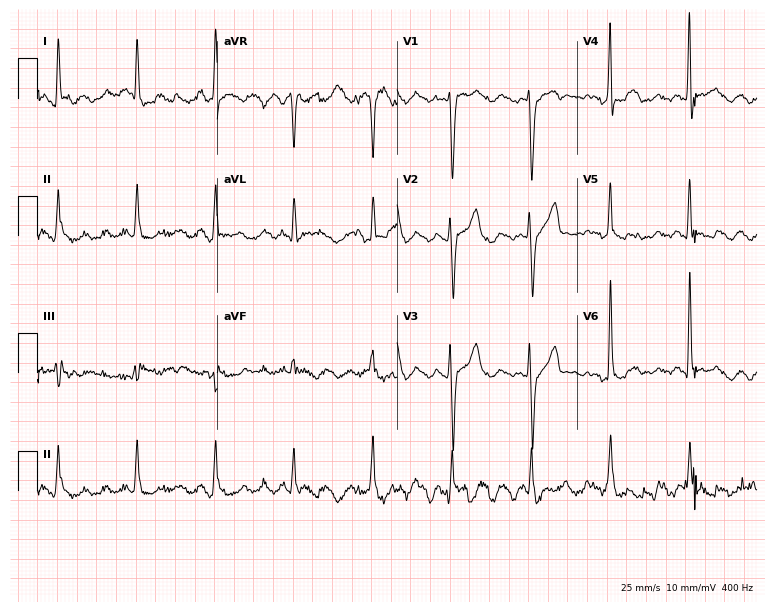
12-lead ECG from a 67-year-old male. No first-degree AV block, right bundle branch block, left bundle branch block, sinus bradycardia, atrial fibrillation or sinus tachycardia recorded for this tracing. Findings outside these six are not listed.